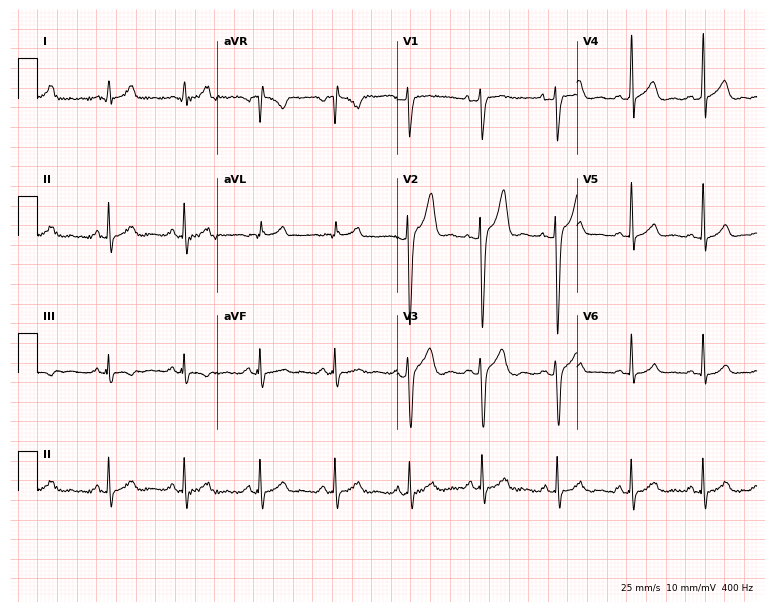
12-lead ECG from a 28-year-old male patient. Labelled as a normal ECG.